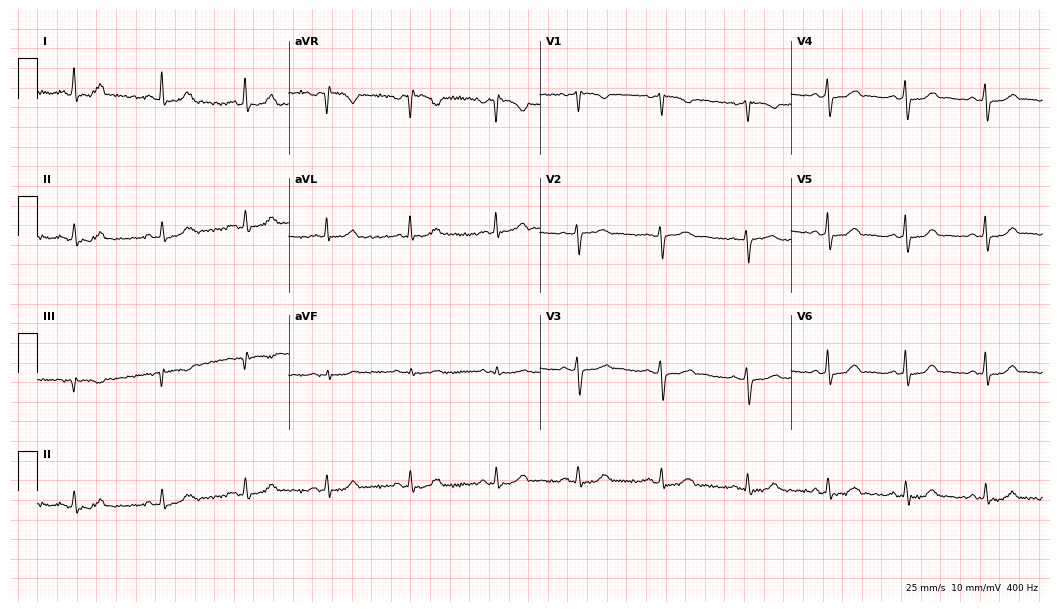
12-lead ECG from a female, 39 years old (10.2-second recording at 400 Hz). Recorded interpretation: within normal limits.